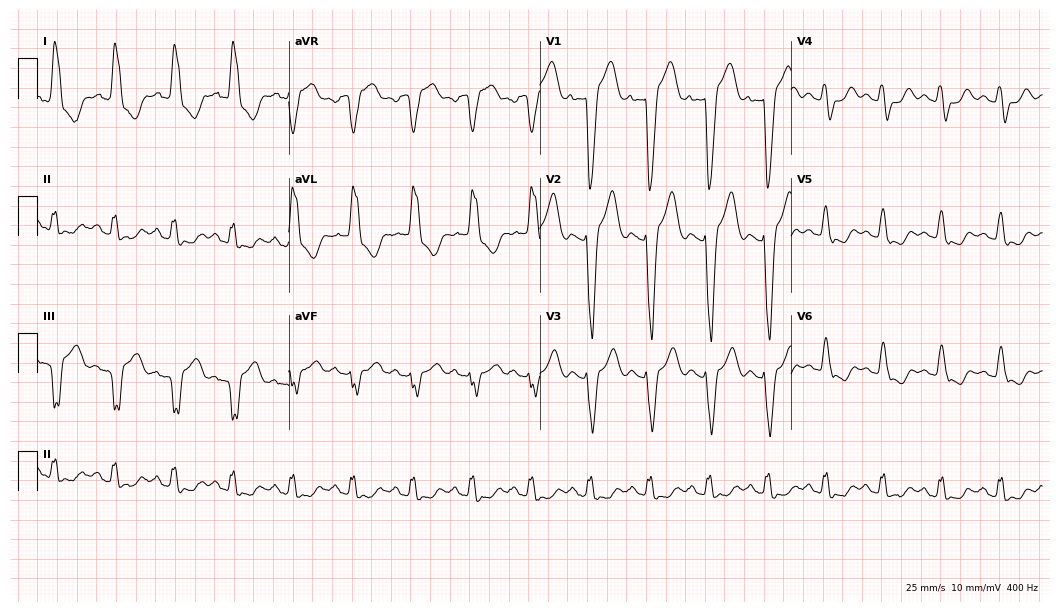
Electrocardiogram, a female, 63 years old. Interpretation includes left bundle branch block.